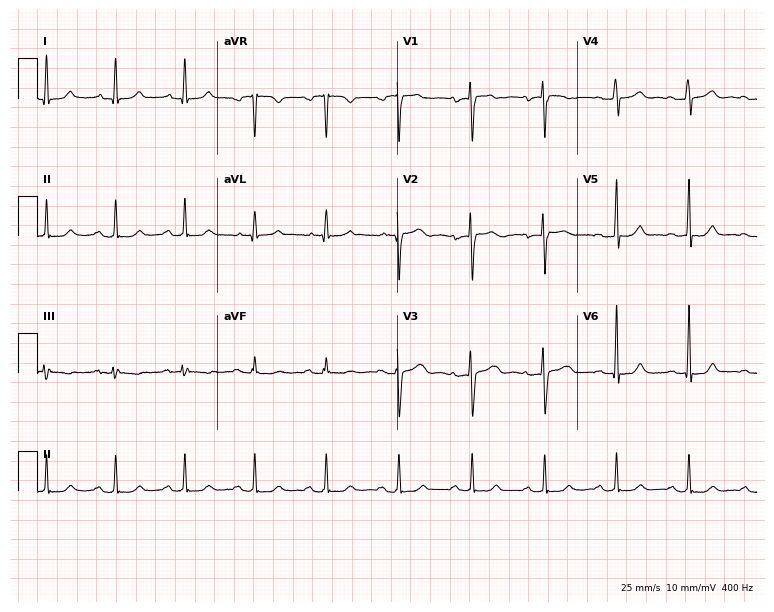
Standard 12-lead ECG recorded from a 51-year-old woman (7.3-second recording at 400 Hz). None of these six findings is recorded: first-degree AV block, right bundle branch block, left bundle branch block, sinus bradycardia, atrial fibrillation, sinus tachycardia.